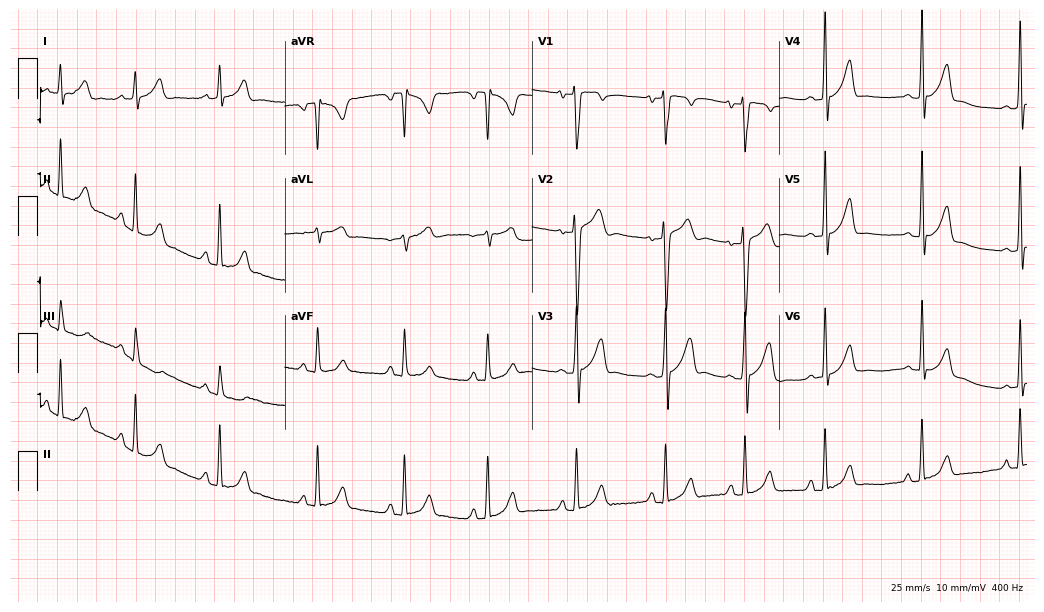
12-lead ECG (10.1-second recording at 400 Hz) from a male patient, 19 years old. Labelled as a normal ECG.